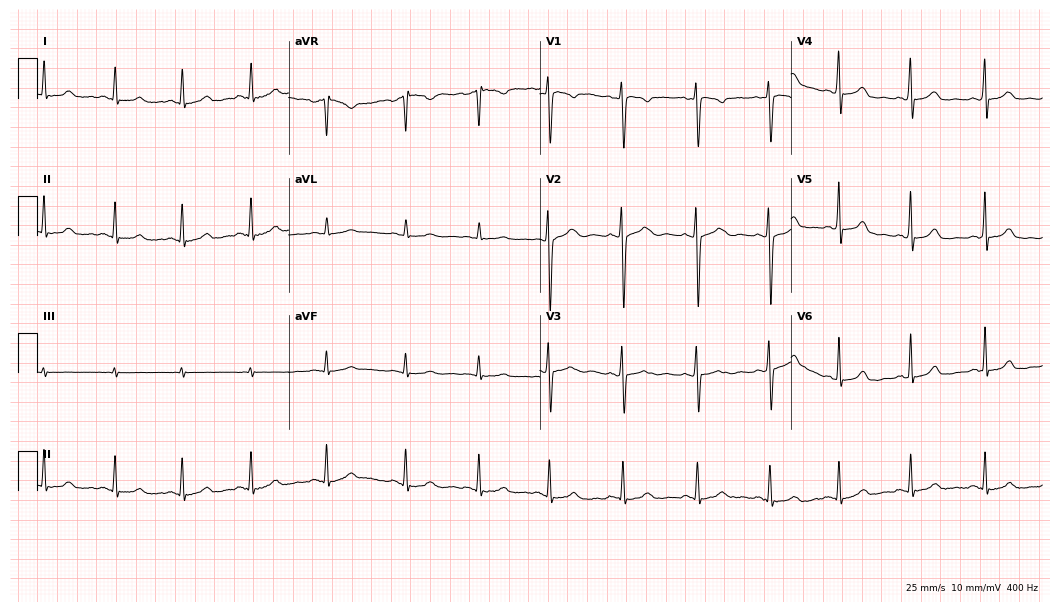
12-lead ECG from an 18-year-old female patient (10.2-second recording at 400 Hz). Recorded interpretation: within normal limits.